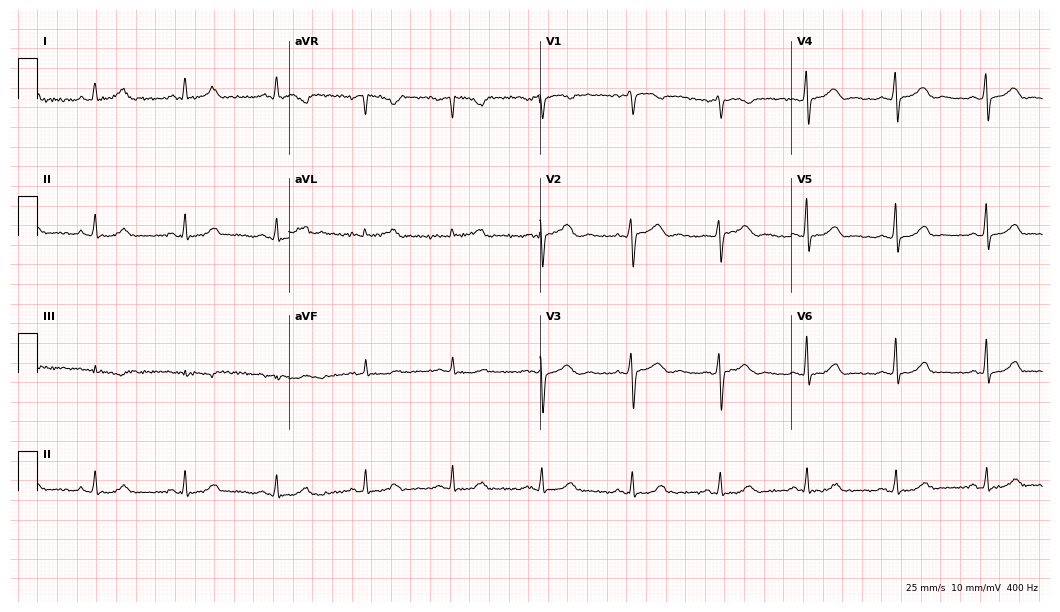
Standard 12-lead ECG recorded from a female, 40 years old. Read as a normal ECG.